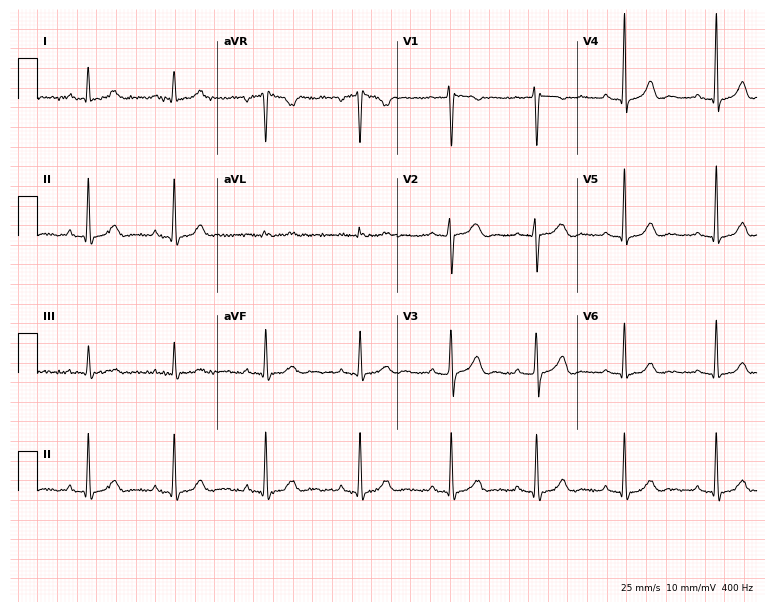
Standard 12-lead ECG recorded from a female patient, 24 years old. Read as a normal ECG.